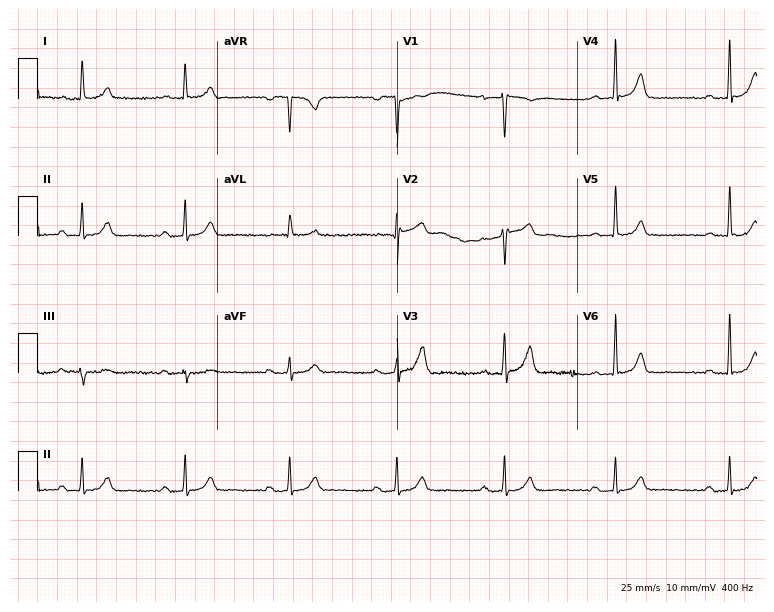
12-lead ECG from a male patient, 61 years old (7.3-second recording at 400 Hz). No first-degree AV block, right bundle branch block, left bundle branch block, sinus bradycardia, atrial fibrillation or sinus tachycardia recorded for this tracing.